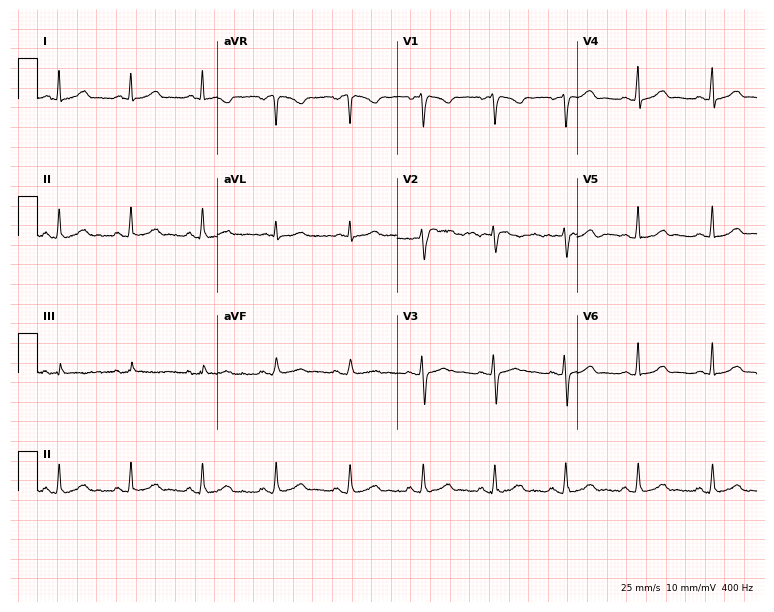
Electrocardiogram (7.3-second recording at 400 Hz), a 35-year-old male. Of the six screened findings (first-degree AV block, right bundle branch block (RBBB), left bundle branch block (LBBB), sinus bradycardia, atrial fibrillation (AF), sinus tachycardia), none is recorded. Findings outside these six are not listed.